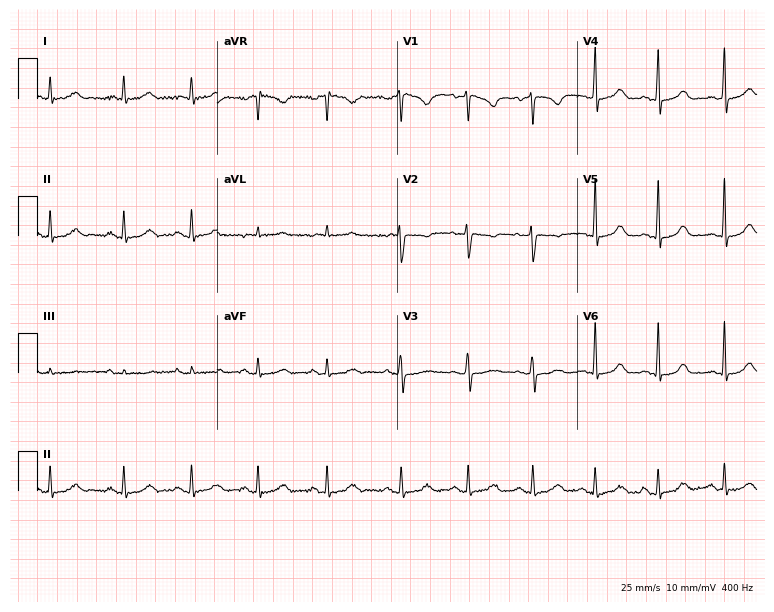
12-lead ECG from a woman, 42 years old. Screened for six findings — first-degree AV block, right bundle branch block, left bundle branch block, sinus bradycardia, atrial fibrillation, sinus tachycardia — none is recorded.